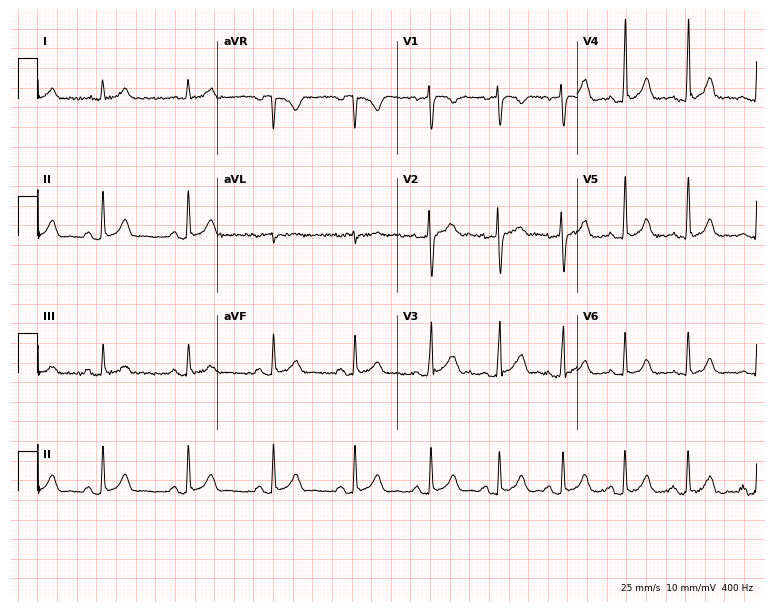
12-lead ECG (7.3-second recording at 400 Hz) from a 22-year-old man. Labelled as a normal ECG.